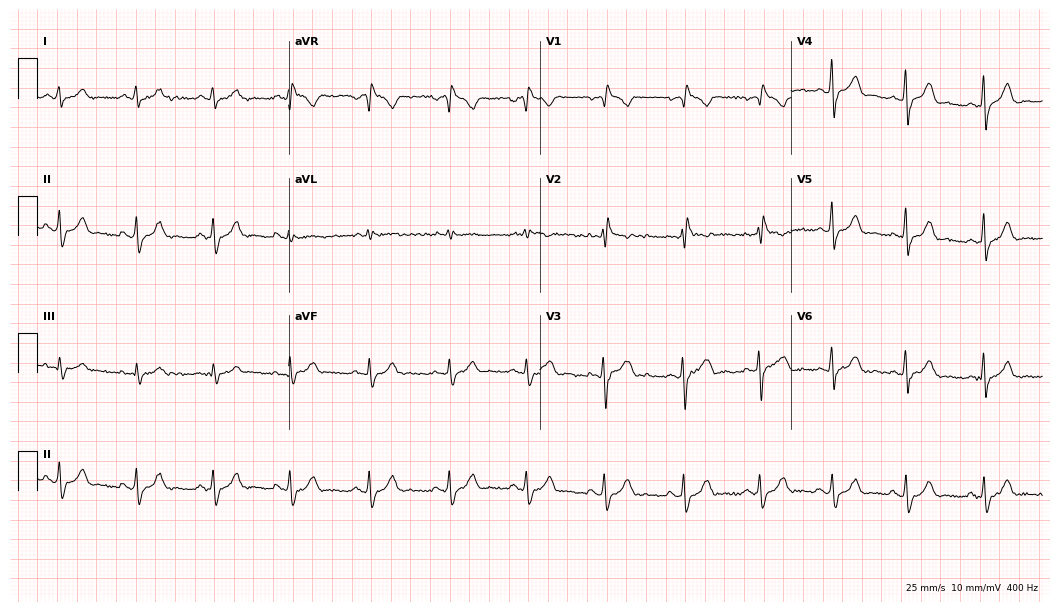
12-lead ECG from a 21-year-old female. Shows right bundle branch block (RBBB).